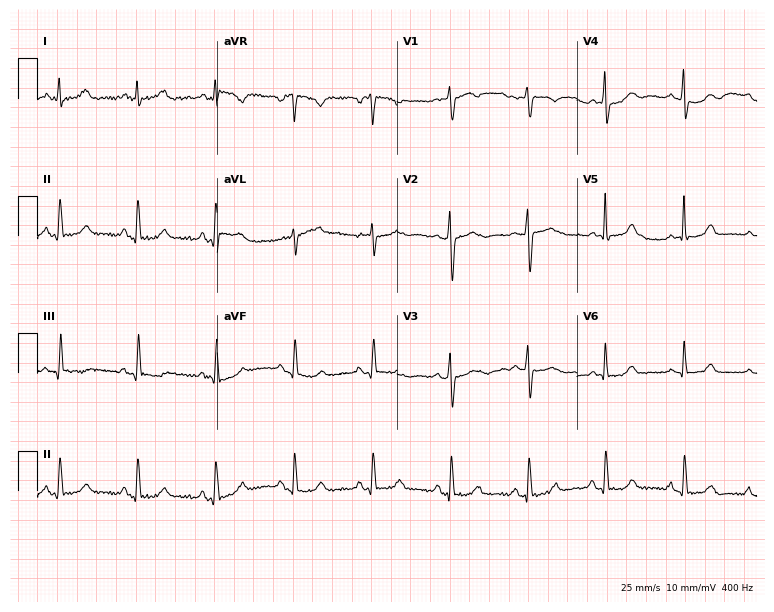
Resting 12-lead electrocardiogram (7.3-second recording at 400 Hz). Patient: a 53-year-old female. Read as a normal ECG.